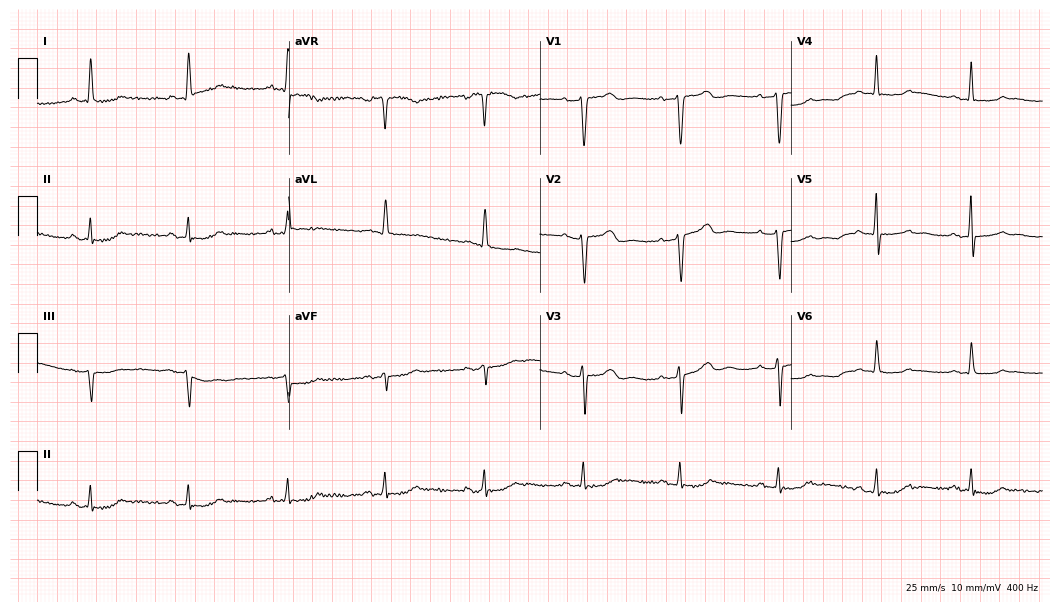
Electrocardiogram (10.2-second recording at 400 Hz), a woman, 68 years old. Overall reading on record: normal ECG.